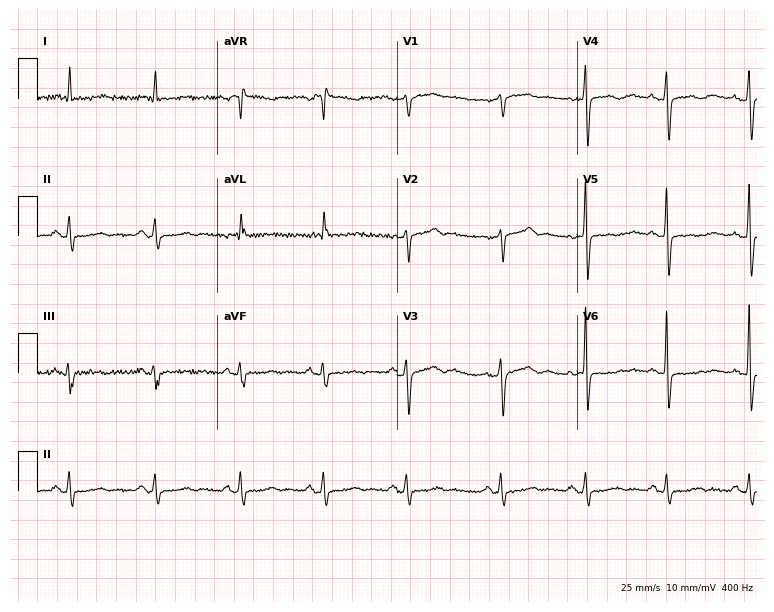
12-lead ECG (7.3-second recording at 400 Hz) from a female, 80 years old. Screened for six findings — first-degree AV block, right bundle branch block (RBBB), left bundle branch block (LBBB), sinus bradycardia, atrial fibrillation (AF), sinus tachycardia — none is recorded. Only these six findings were labelled.